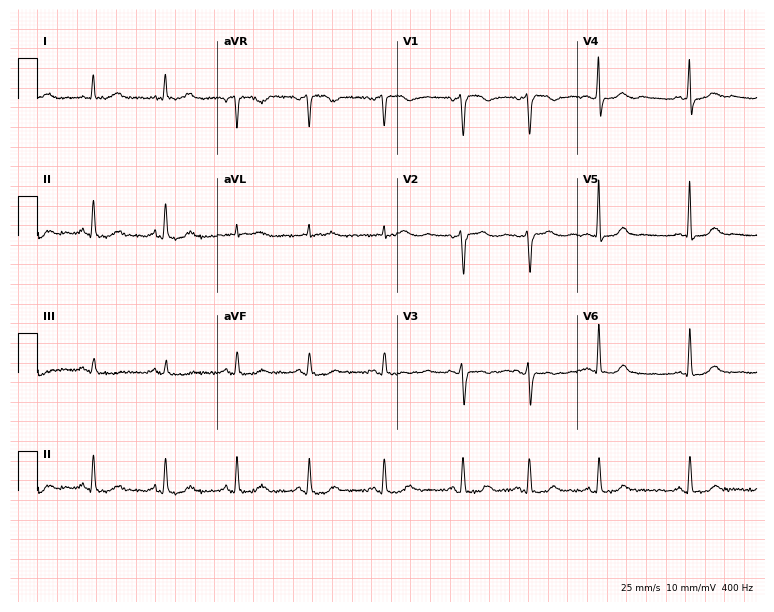
Resting 12-lead electrocardiogram (7.3-second recording at 400 Hz). Patient: a 64-year-old woman. Read as a normal ECG.